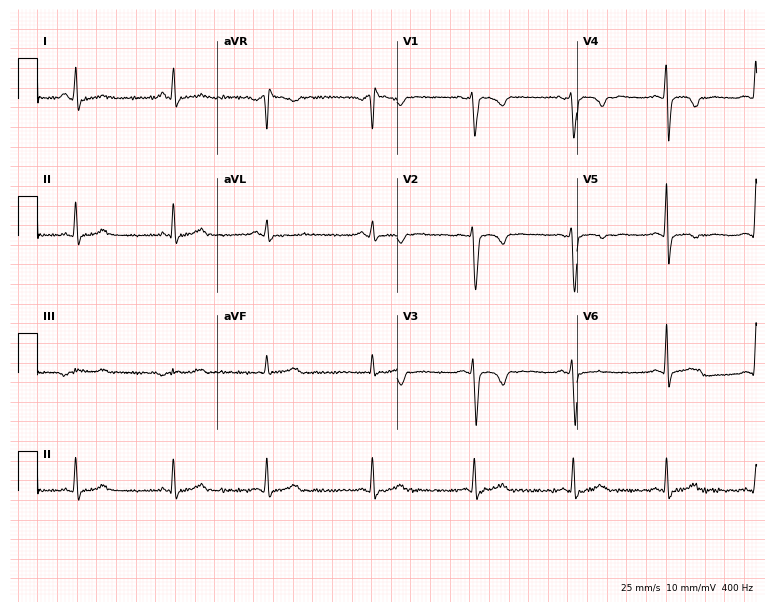
12-lead ECG from a 32-year-old female patient. No first-degree AV block, right bundle branch block, left bundle branch block, sinus bradycardia, atrial fibrillation or sinus tachycardia recorded for this tracing. Findings outside these six are not listed.